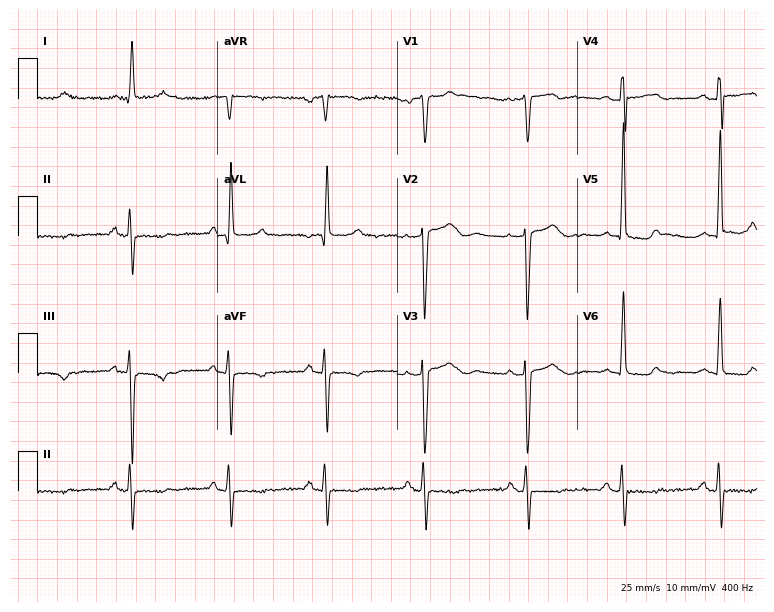
12-lead ECG (7.3-second recording at 400 Hz) from a 68-year-old female patient. Screened for six findings — first-degree AV block, right bundle branch block, left bundle branch block, sinus bradycardia, atrial fibrillation, sinus tachycardia — none is recorded.